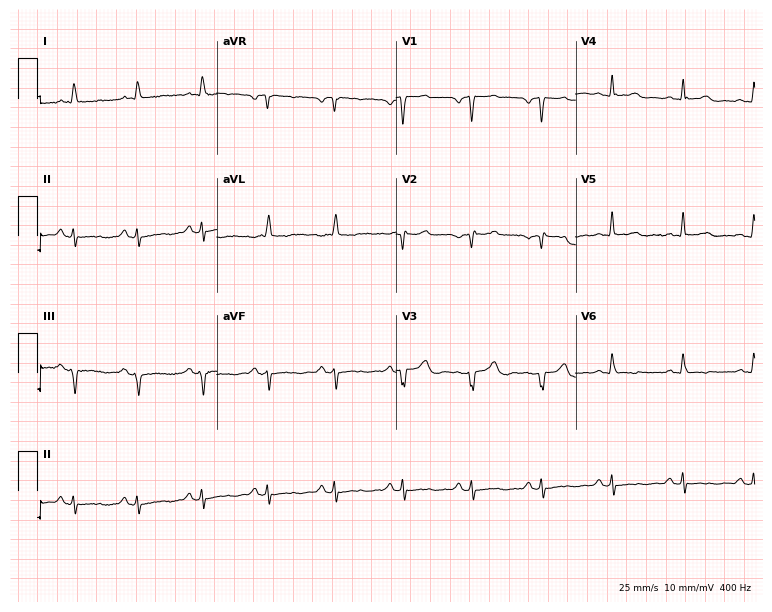
Electrocardiogram (7.3-second recording at 400 Hz), a man, 55 years old. Of the six screened findings (first-degree AV block, right bundle branch block, left bundle branch block, sinus bradycardia, atrial fibrillation, sinus tachycardia), none is recorded. Other findings, if any, are not listed.